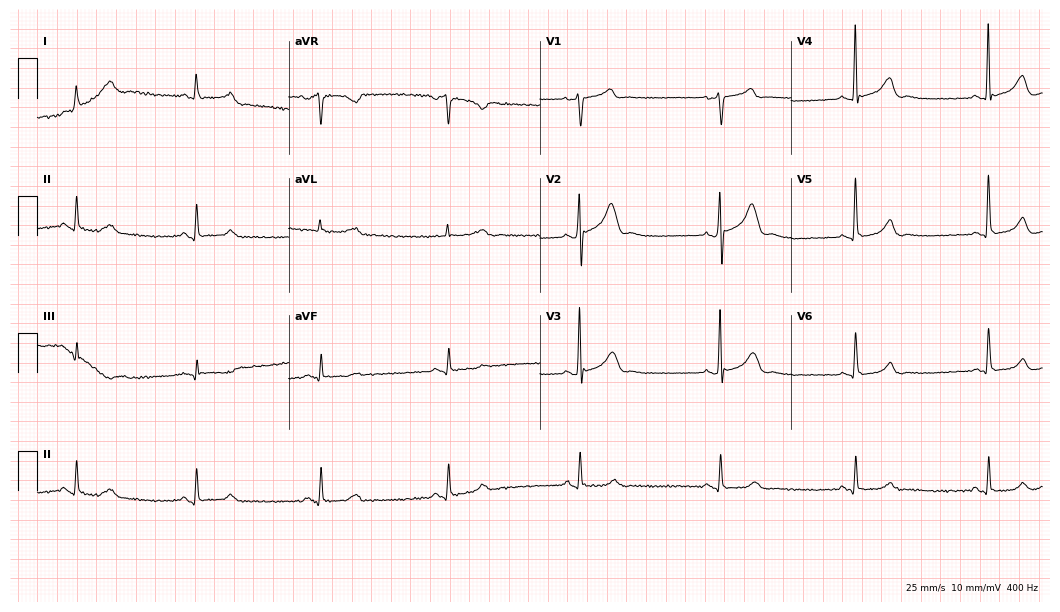
12-lead ECG from a 59-year-old man. Shows sinus bradycardia (a sinus rate of 50 beats per minute or less).